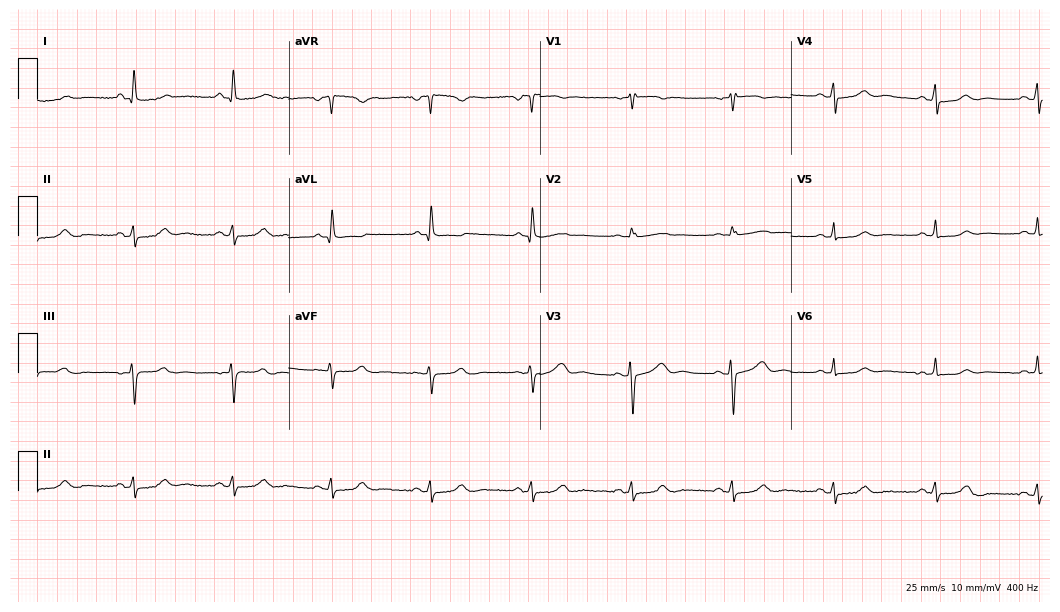
12-lead ECG from a female patient, 65 years old. Screened for six findings — first-degree AV block, right bundle branch block, left bundle branch block, sinus bradycardia, atrial fibrillation, sinus tachycardia — none is recorded. Other findings, if any, are not listed.